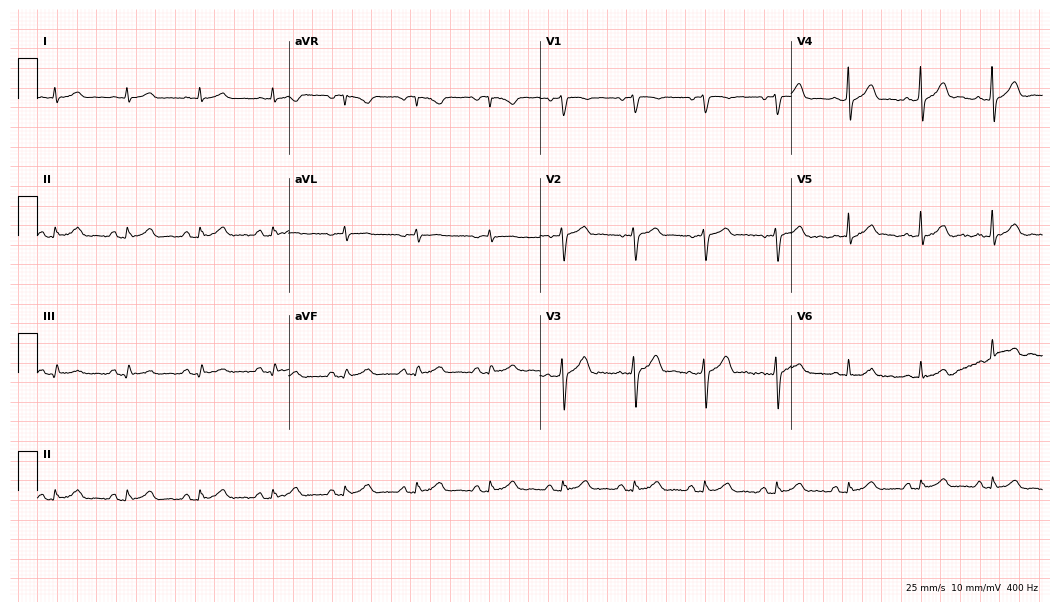
Resting 12-lead electrocardiogram (10.2-second recording at 400 Hz). Patient: a 60-year-old male. Read as a normal ECG.